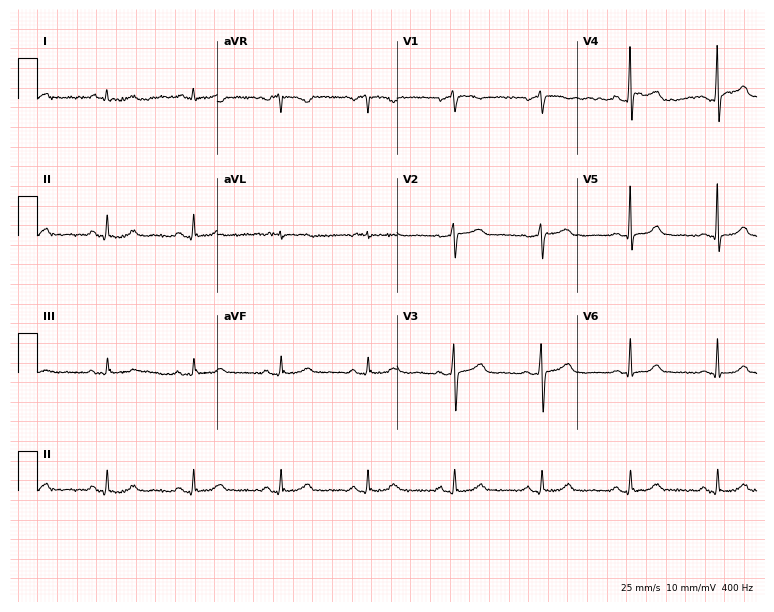
Resting 12-lead electrocardiogram. Patient: a female, 78 years old. Read as a normal ECG.